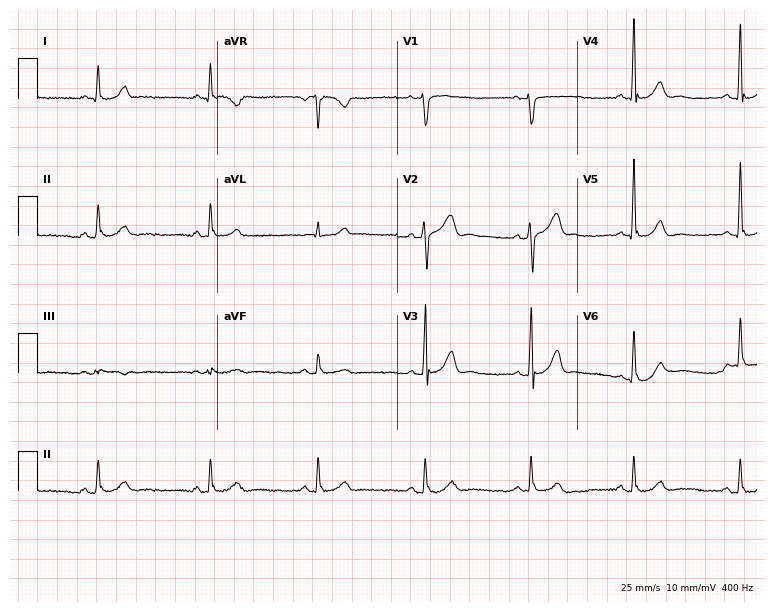
ECG — a male, 50 years old. Screened for six findings — first-degree AV block, right bundle branch block, left bundle branch block, sinus bradycardia, atrial fibrillation, sinus tachycardia — none is recorded.